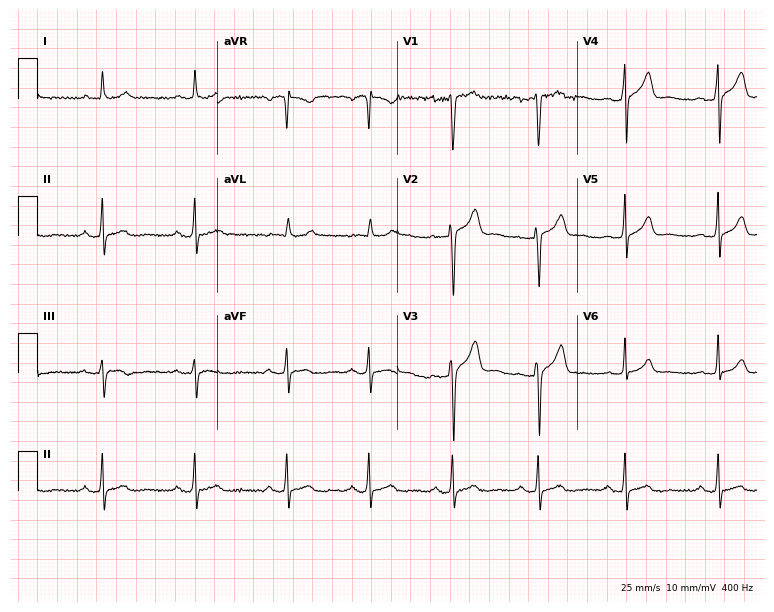
12-lead ECG from a man, 30 years old (7.3-second recording at 400 Hz). No first-degree AV block, right bundle branch block, left bundle branch block, sinus bradycardia, atrial fibrillation or sinus tachycardia recorded for this tracing.